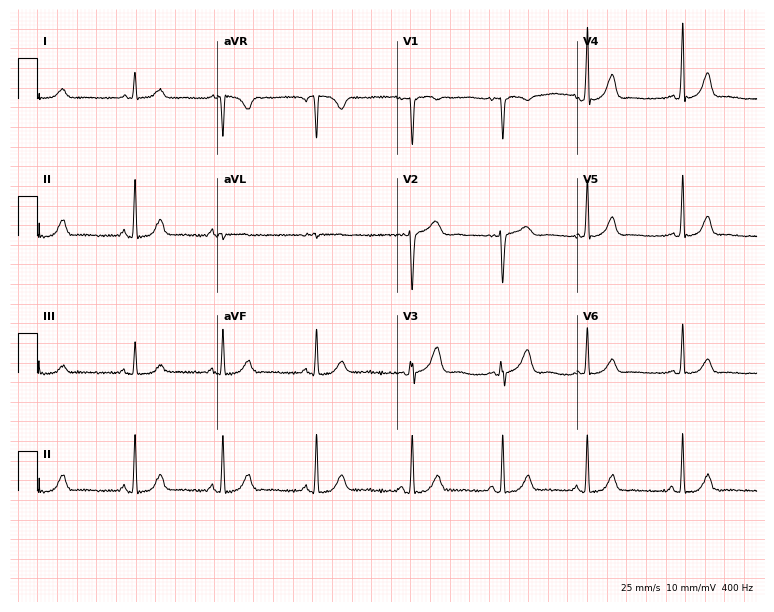
12-lead ECG (7.3-second recording at 400 Hz) from a female, 38 years old. Labelled as a normal ECG.